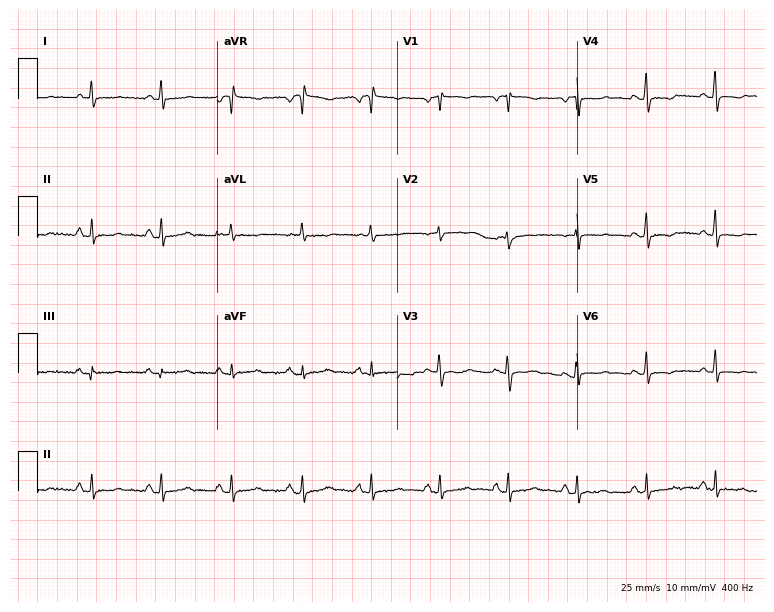
12-lead ECG from a female patient, 69 years old (7.3-second recording at 400 Hz). No first-degree AV block, right bundle branch block, left bundle branch block, sinus bradycardia, atrial fibrillation or sinus tachycardia recorded for this tracing.